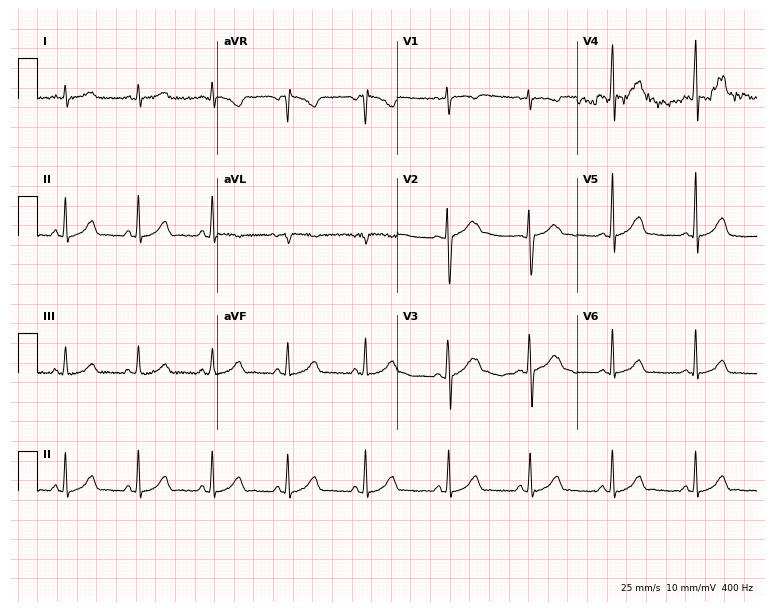
12-lead ECG (7.3-second recording at 400 Hz) from a male patient, 30 years old. Labelled as a normal ECG.